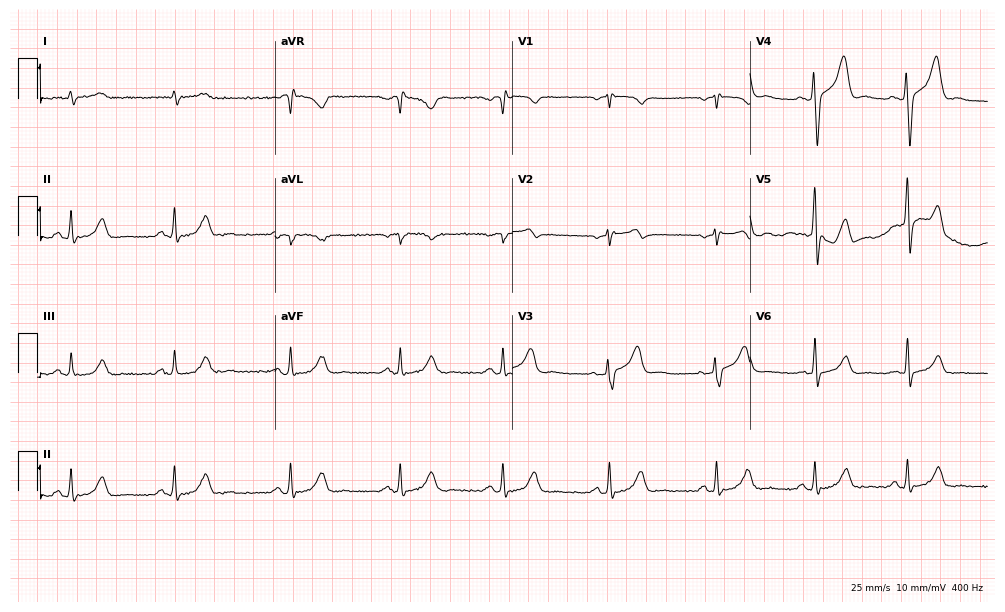
12-lead ECG (9.7-second recording at 400 Hz) from a man, 47 years old. Labelled as a normal ECG.